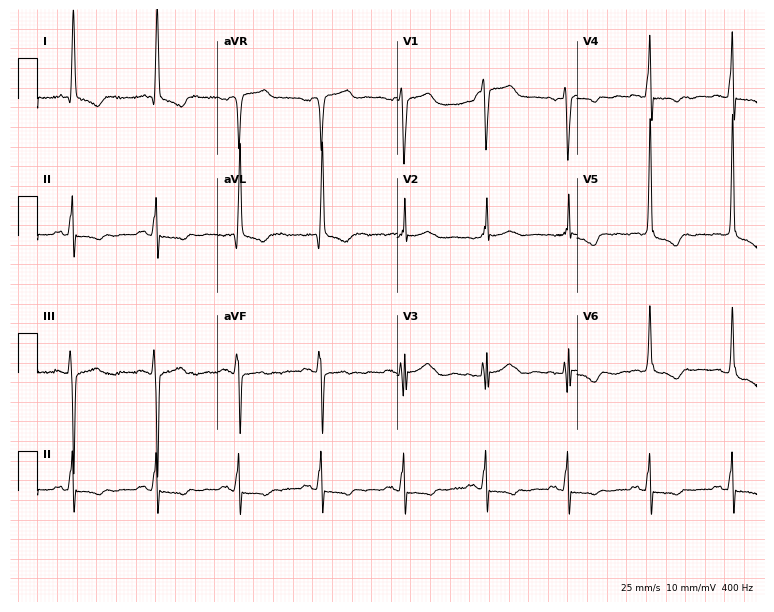
Standard 12-lead ECG recorded from a female patient, 72 years old. None of these six findings is recorded: first-degree AV block, right bundle branch block, left bundle branch block, sinus bradycardia, atrial fibrillation, sinus tachycardia. Other findings, if any, are not listed.